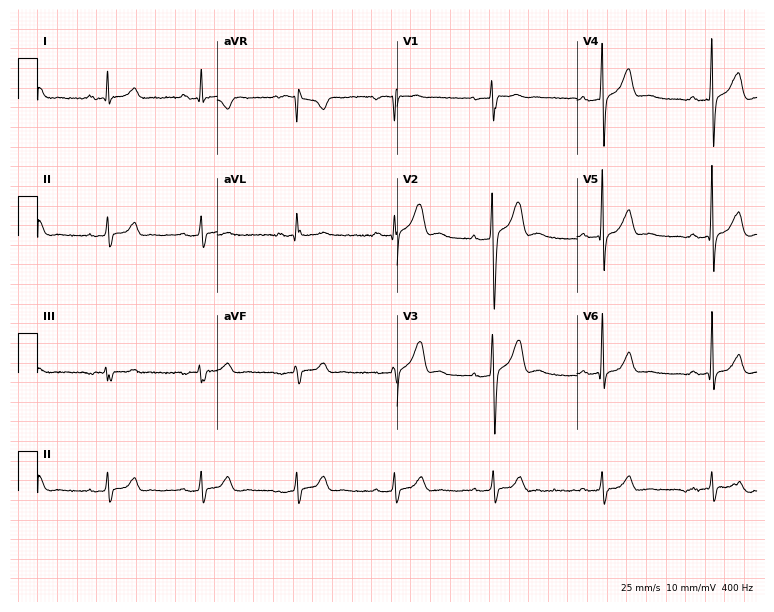
12-lead ECG (7.3-second recording at 400 Hz) from a male patient, 41 years old. Screened for six findings — first-degree AV block, right bundle branch block (RBBB), left bundle branch block (LBBB), sinus bradycardia, atrial fibrillation (AF), sinus tachycardia — none is recorded. Only these six findings were labelled.